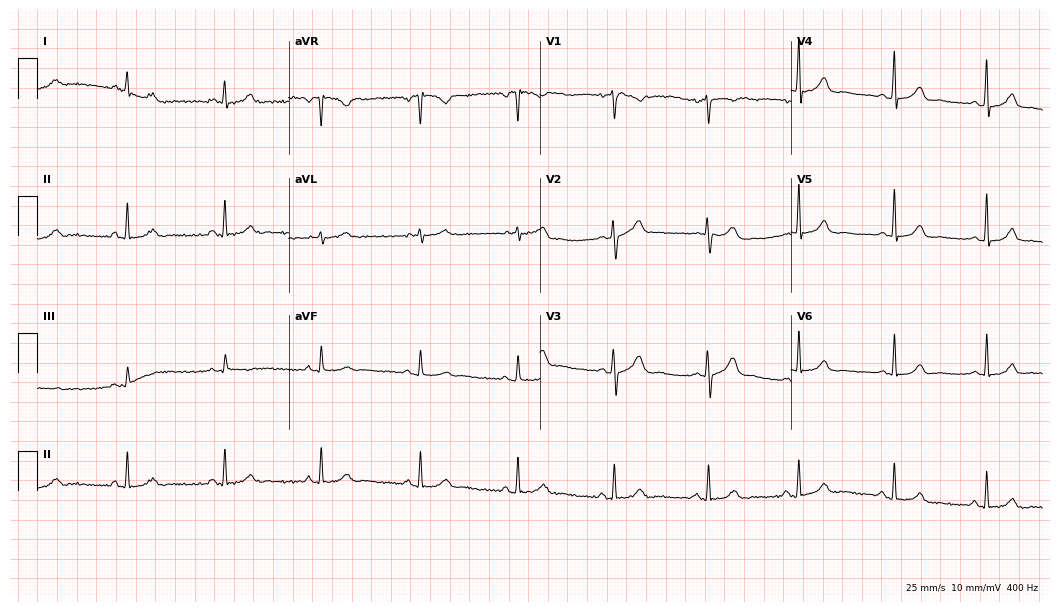
12-lead ECG from a woman, 28 years old. Recorded interpretation: within normal limits.